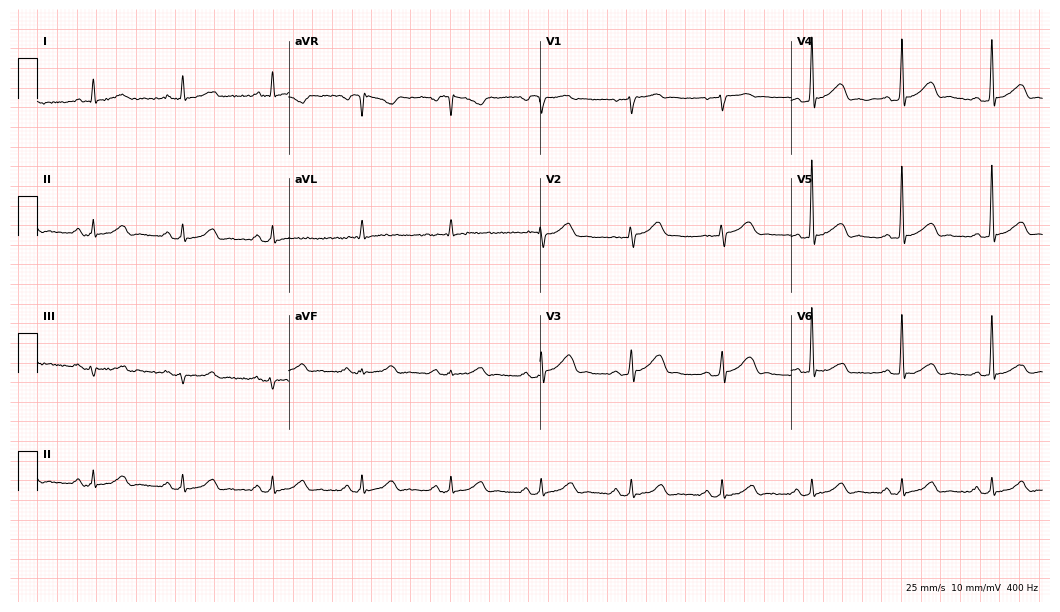
12-lead ECG from a man, 68 years old. Recorded interpretation: within normal limits.